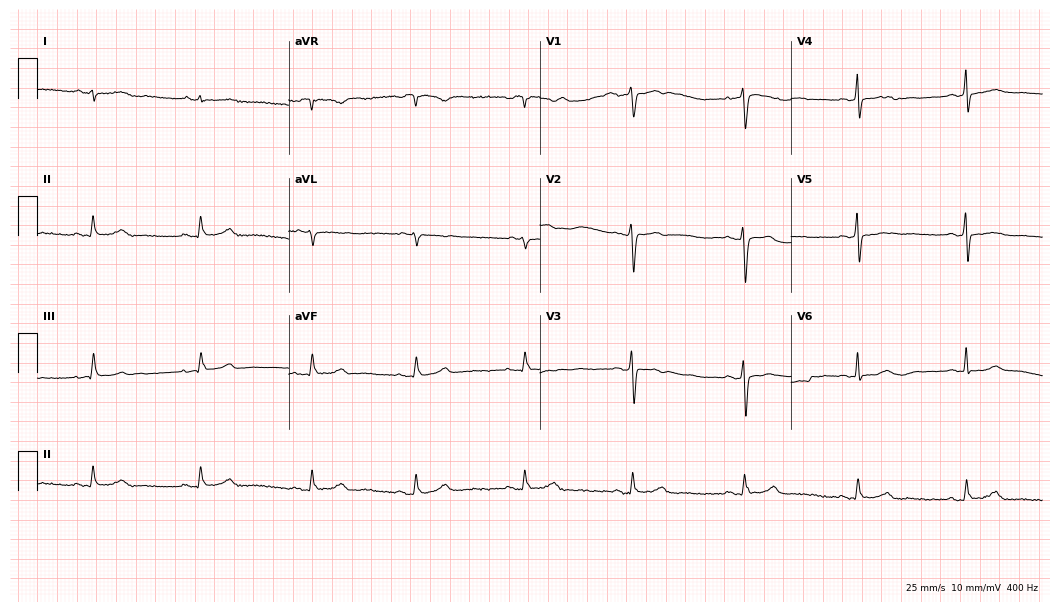
12-lead ECG from a female, 47 years old (10.2-second recording at 400 Hz). Recorded interpretation: within normal limits.